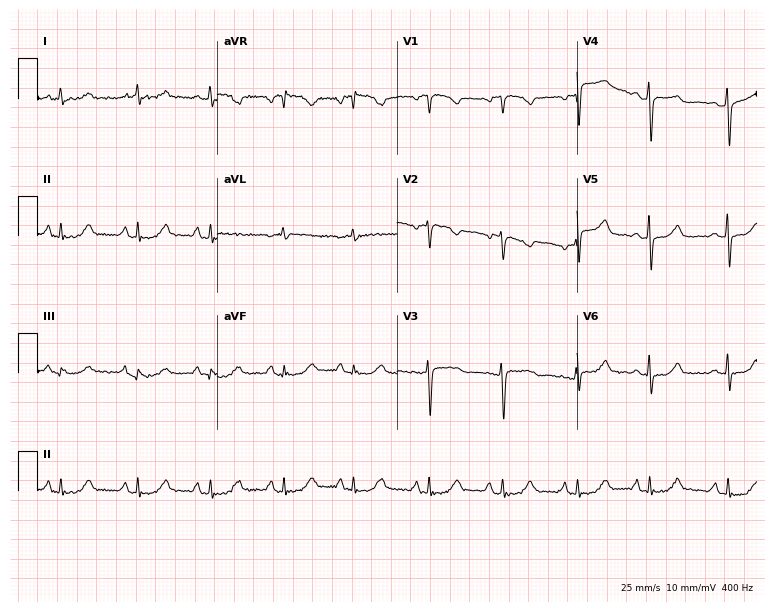
12-lead ECG from a woman, 60 years old (7.3-second recording at 400 Hz). No first-degree AV block, right bundle branch block, left bundle branch block, sinus bradycardia, atrial fibrillation or sinus tachycardia recorded for this tracing. Only these six findings were labelled.